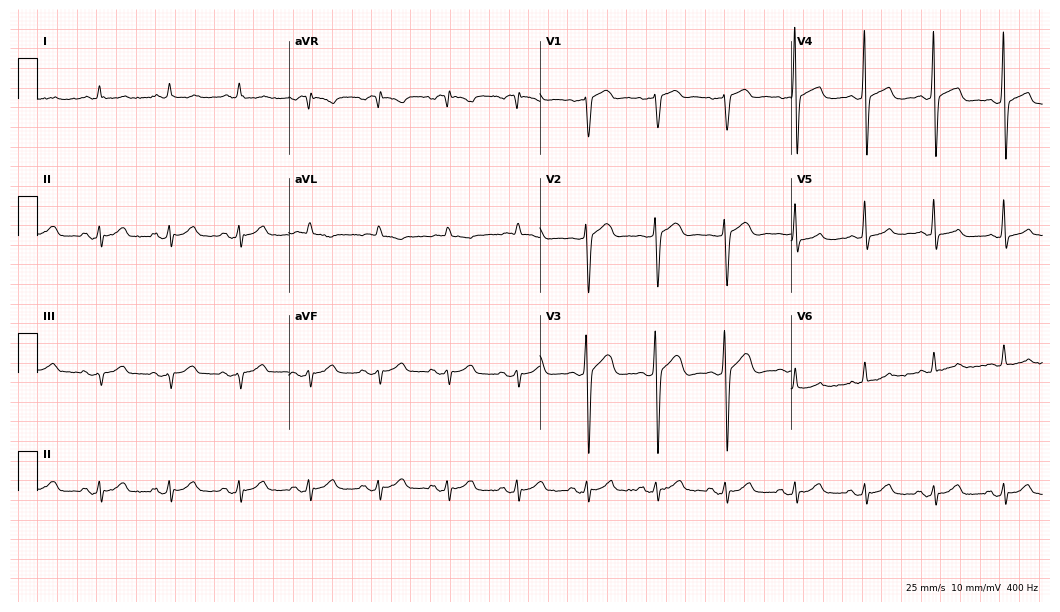
12-lead ECG (10.2-second recording at 400 Hz) from a 57-year-old male patient. Labelled as a normal ECG.